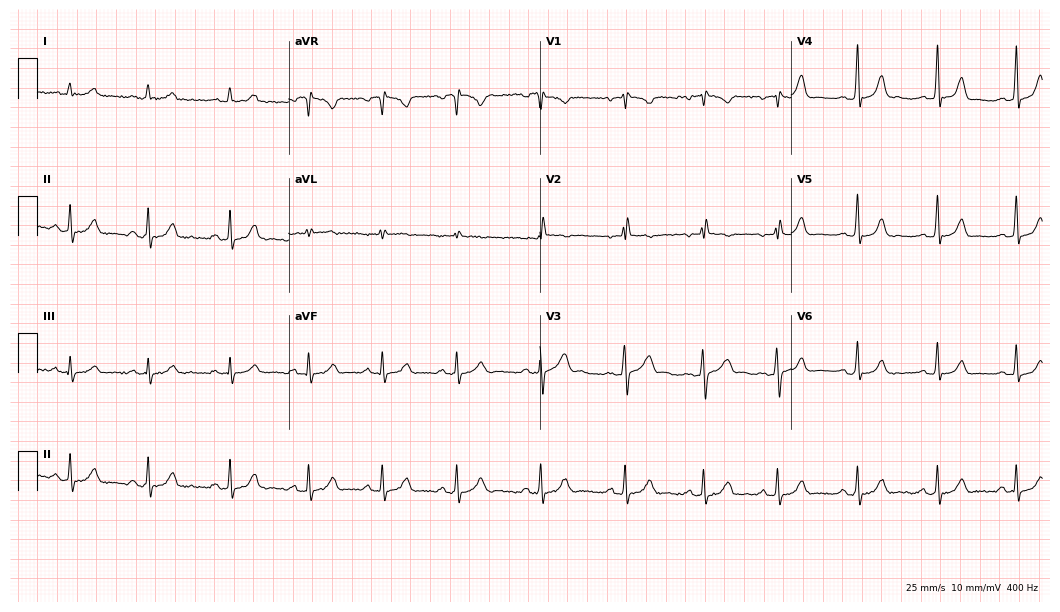
ECG — a woman, 19 years old. Screened for six findings — first-degree AV block, right bundle branch block, left bundle branch block, sinus bradycardia, atrial fibrillation, sinus tachycardia — none is recorded.